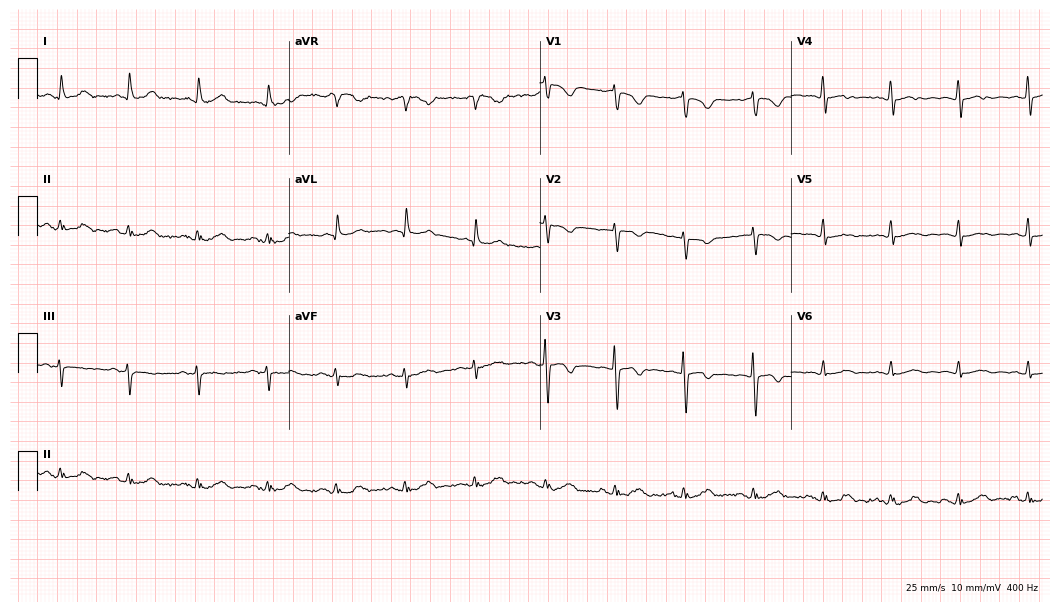
Standard 12-lead ECG recorded from a 61-year-old female patient. Read as a normal ECG.